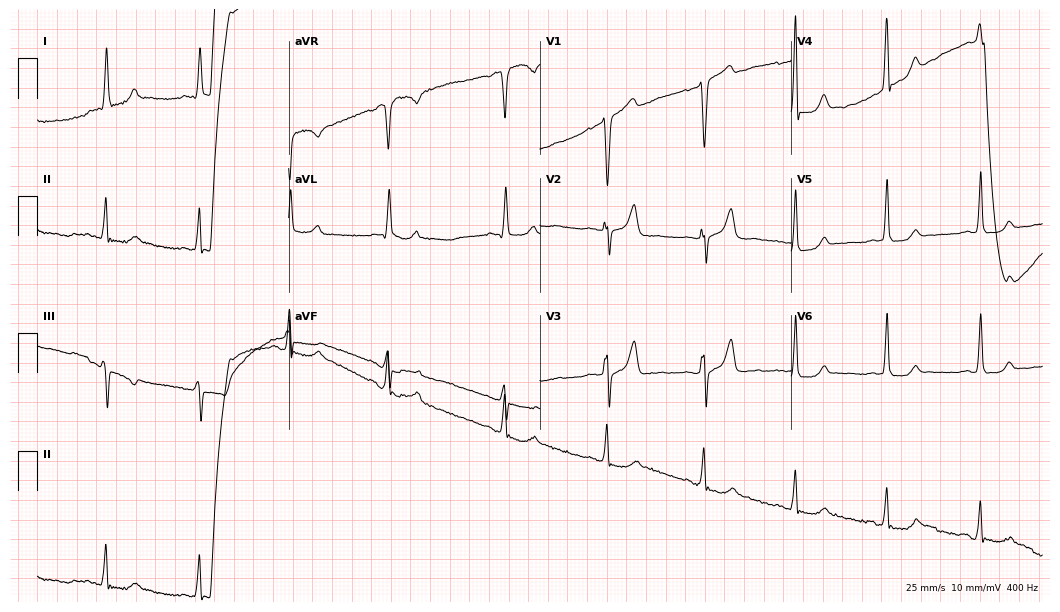
Standard 12-lead ECG recorded from a 50-year-old female (10.2-second recording at 400 Hz). None of these six findings is recorded: first-degree AV block, right bundle branch block, left bundle branch block, sinus bradycardia, atrial fibrillation, sinus tachycardia.